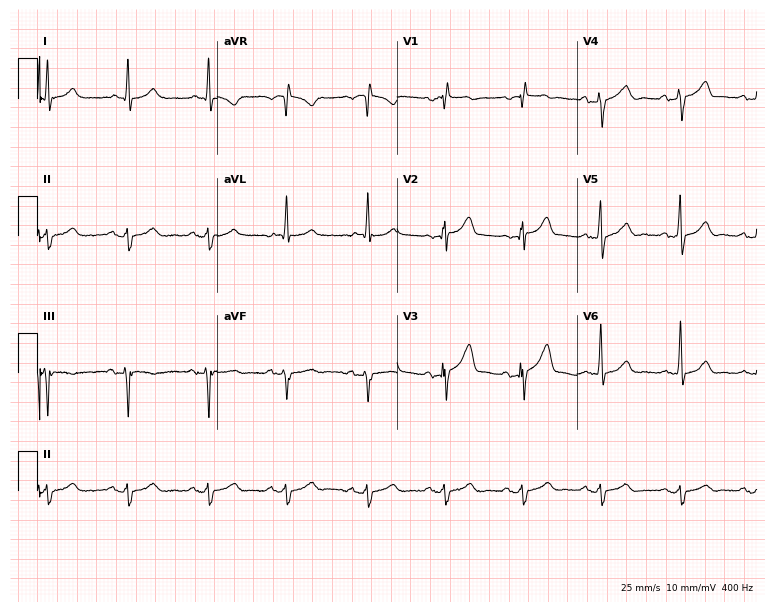
ECG — a 59-year-old male. Screened for six findings — first-degree AV block, right bundle branch block (RBBB), left bundle branch block (LBBB), sinus bradycardia, atrial fibrillation (AF), sinus tachycardia — none is recorded. Only these six findings were labelled.